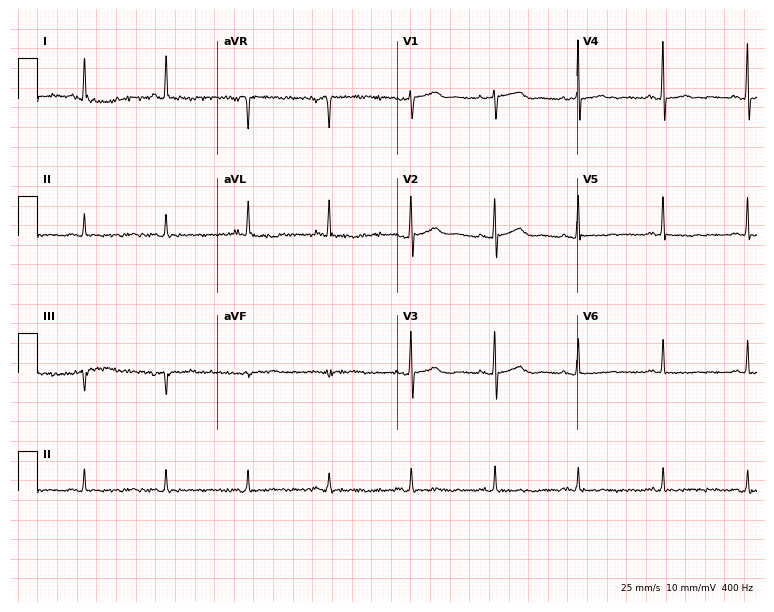
12-lead ECG from a woman, 74 years old. No first-degree AV block, right bundle branch block, left bundle branch block, sinus bradycardia, atrial fibrillation or sinus tachycardia recorded for this tracing. Other findings, if any, are not listed.